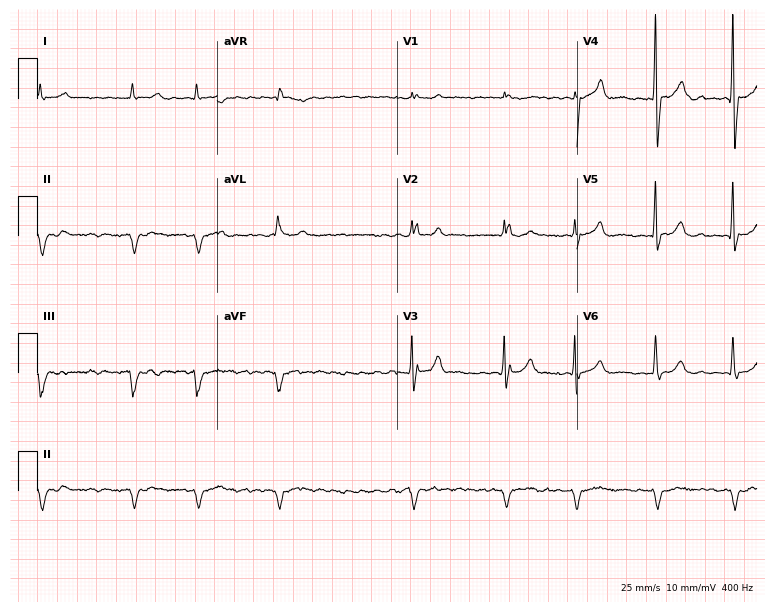
12-lead ECG from a 71-year-old male (7.3-second recording at 400 Hz). Shows right bundle branch block, atrial fibrillation.